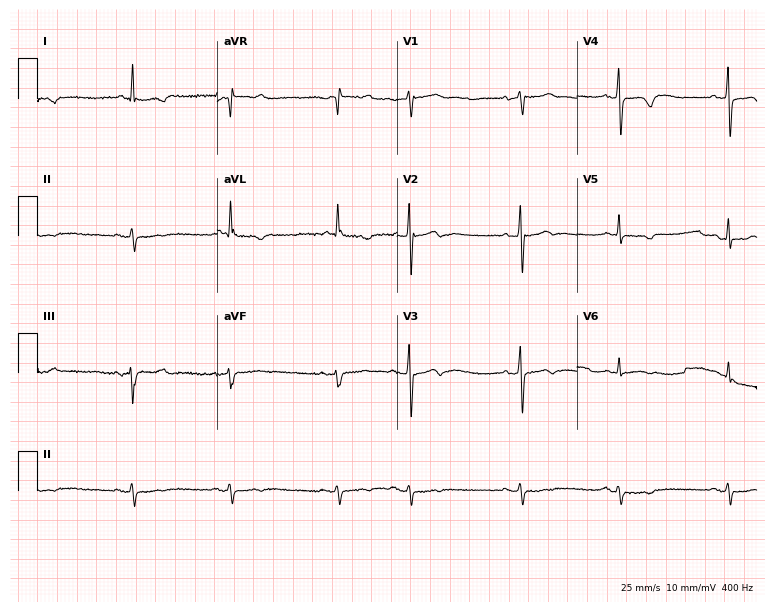
Resting 12-lead electrocardiogram. Patient: a 73-year-old woman. None of these six findings is recorded: first-degree AV block, right bundle branch block, left bundle branch block, sinus bradycardia, atrial fibrillation, sinus tachycardia. Findings outside these six are not listed.